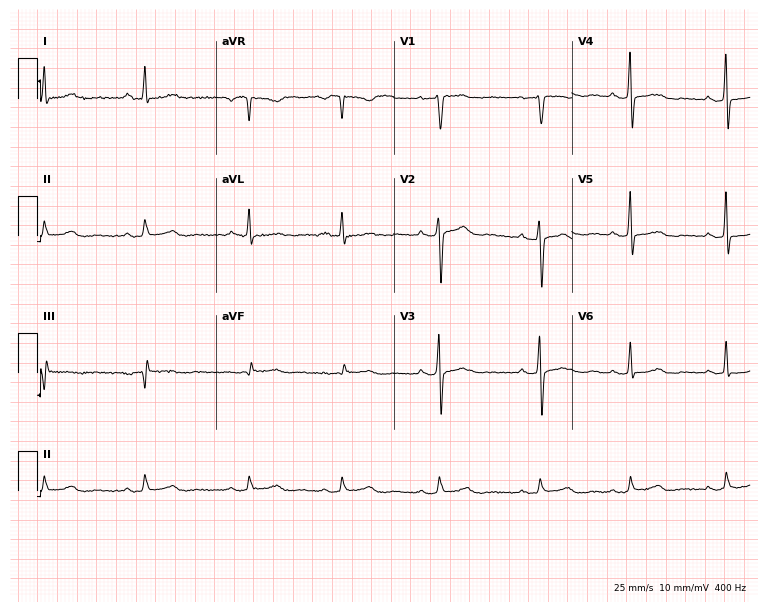
Resting 12-lead electrocardiogram (7.3-second recording at 400 Hz). Patient: a female, 44 years old. None of these six findings is recorded: first-degree AV block, right bundle branch block, left bundle branch block, sinus bradycardia, atrial fibrillation, sinus tachycardia. Only these six findings were labelled.